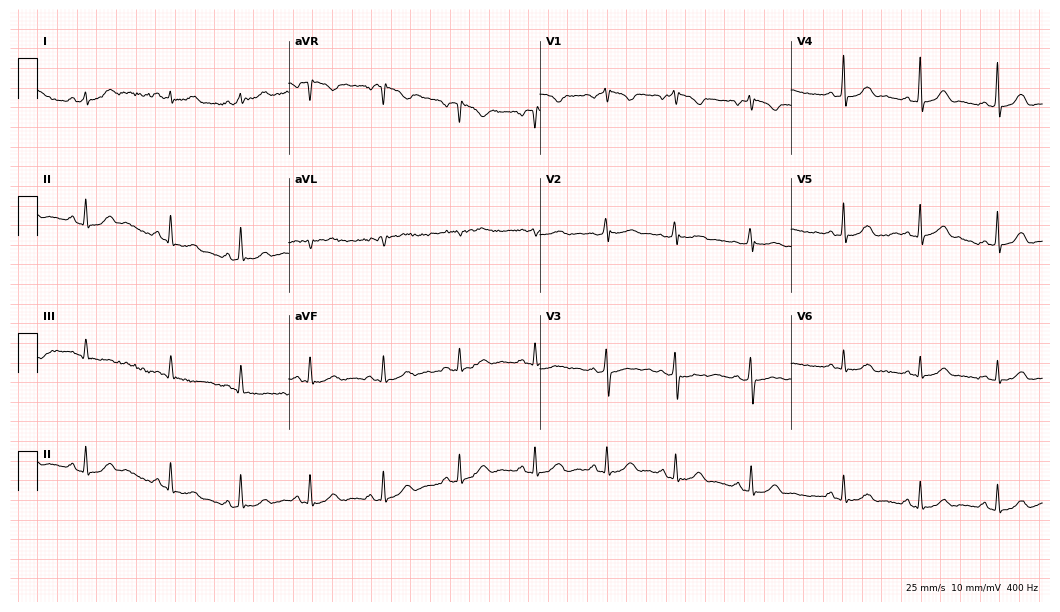
ECG — a 24-year-old female. Screened for six findings — first-degree AV block, right bundle branch block, left bundle branch block, sinus bradycardia, atrial fibrillation, sinus tachycardia — none is recorded. Other findings, if any, are not listed.